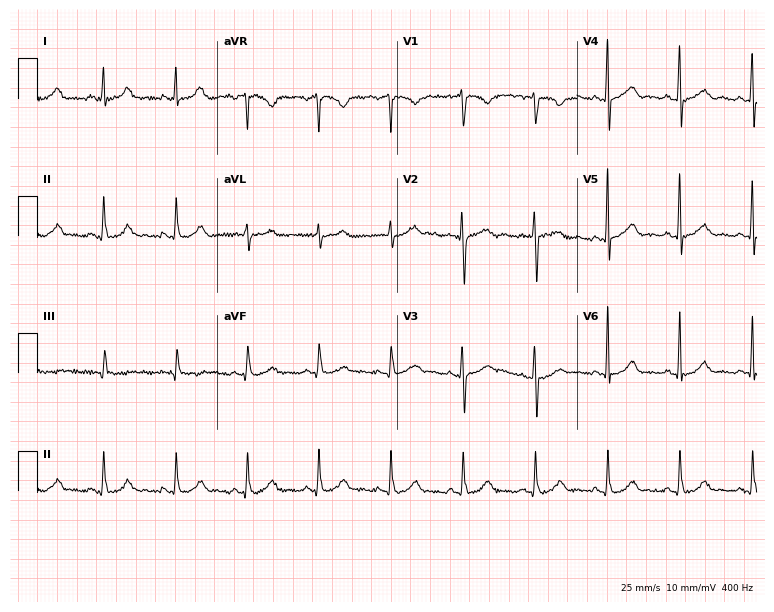
12-lead ECG from a female patient, 42 years old. Screened for six findings — first-degree AV block, right bundle branch block, left bundle branch block, sinus bradycardia, atrial fibrillation, sinus tachycardia — none is recorded. Findings outside these six are not listed.